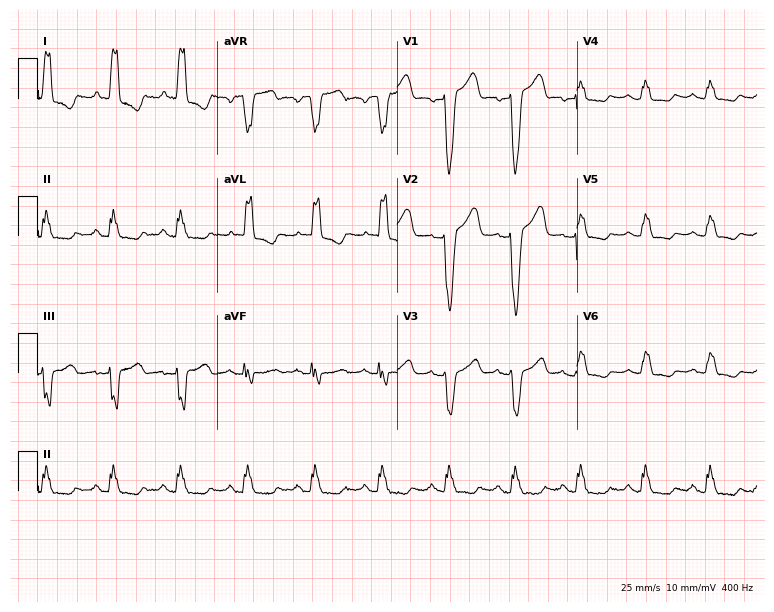
12-lead ECG (7.3-second recording at 400 Hz) from a 61-year-old female. Findings include left bundle branch block.